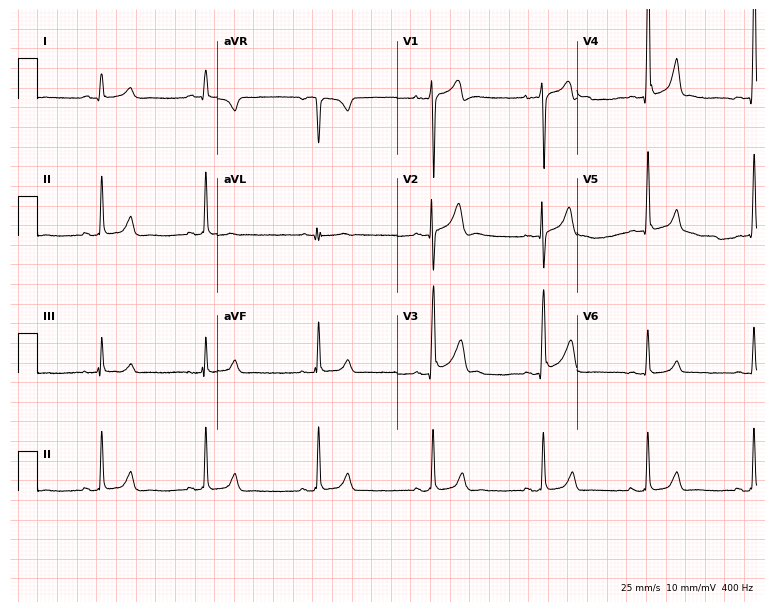
ECG (7.3-second recording at 400 Hz) — a male patient, 19 years old. Labelled as a normal ECG.